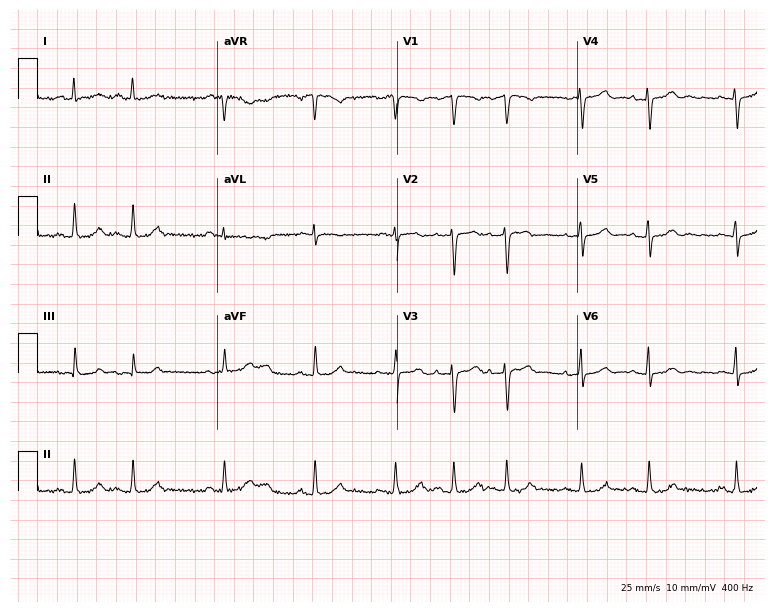
12-lead ECG from a male, 73 years old (7.3-second recording at 400 Hz). No first-degree AV block, right bundle branch block (RBBB), left bundle branch block (LBBB), sinus bradycardia, atrial fibrillation (AF) or sinus tachycardia recorded for this tracing.